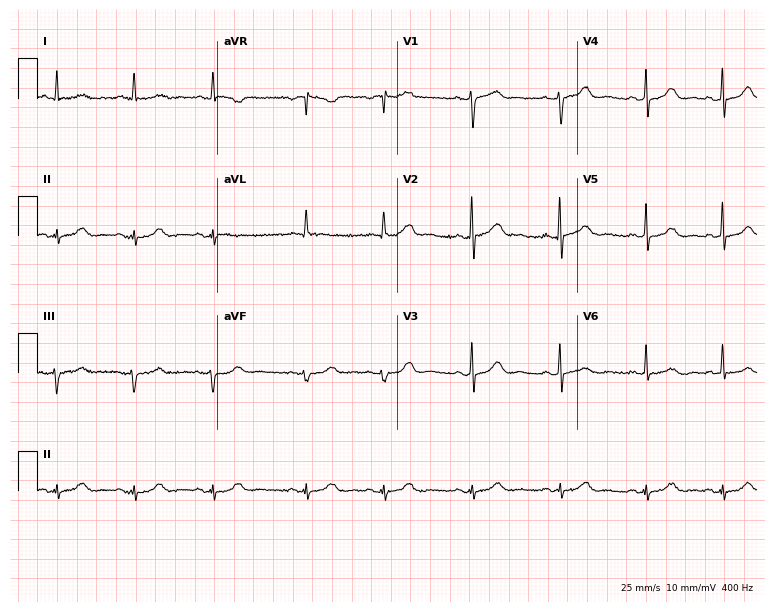
12-lead ECG from an 81-year-old female (7.3-second recording at 400 Hz). No first-degree AV block, right bundle branch block, left bundle branch block, sinus bradycardia, atrial fibrillation or sinus tachycardia recorded for this tracing.